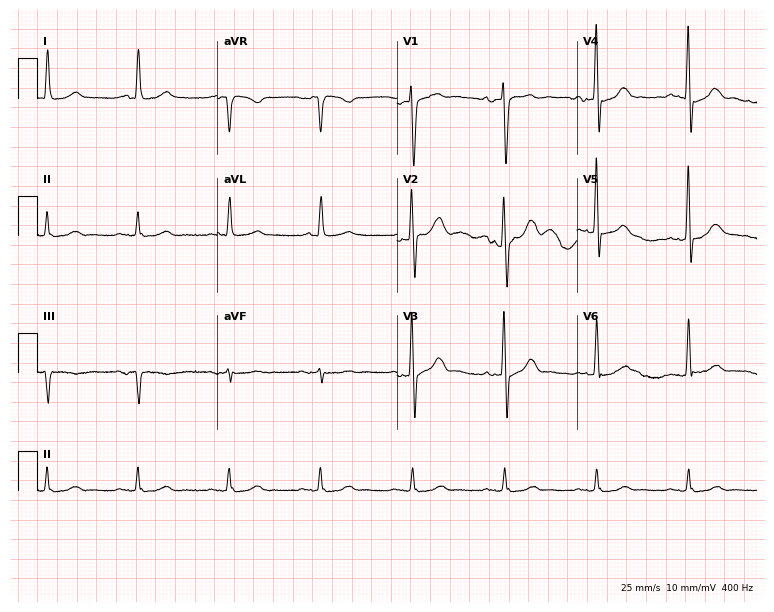
Resting 12-lead electrocardiogram (7.3-second recording at 400 Hz). Patient: a male, 81 years old. None of these six findings is recorded: first-degree AV block, right bundle branch block, left bundle branch block, sinus bradycardia, atrial fibrillation, sinus tachycardia. Other findings, if any, are not listed.